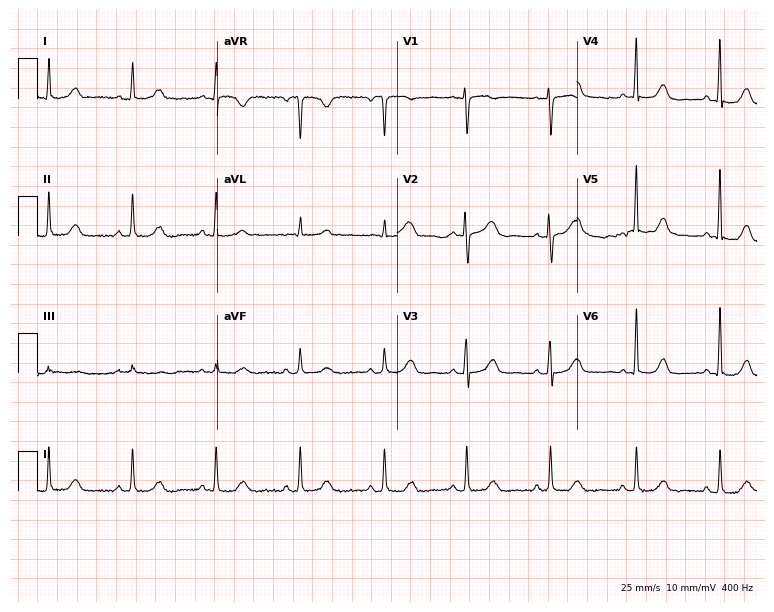
Resting 12-lead electrocardiogram (7.3-second recording at 400 Hz). Patient: a female, 52 years old. None of these six findings is recorded: first-degree AV block, right bundle branch block, left bundle branch block, sinus bradycardia, atrial fibrillation, sinus tachycardia. Only these six findings were labelled.